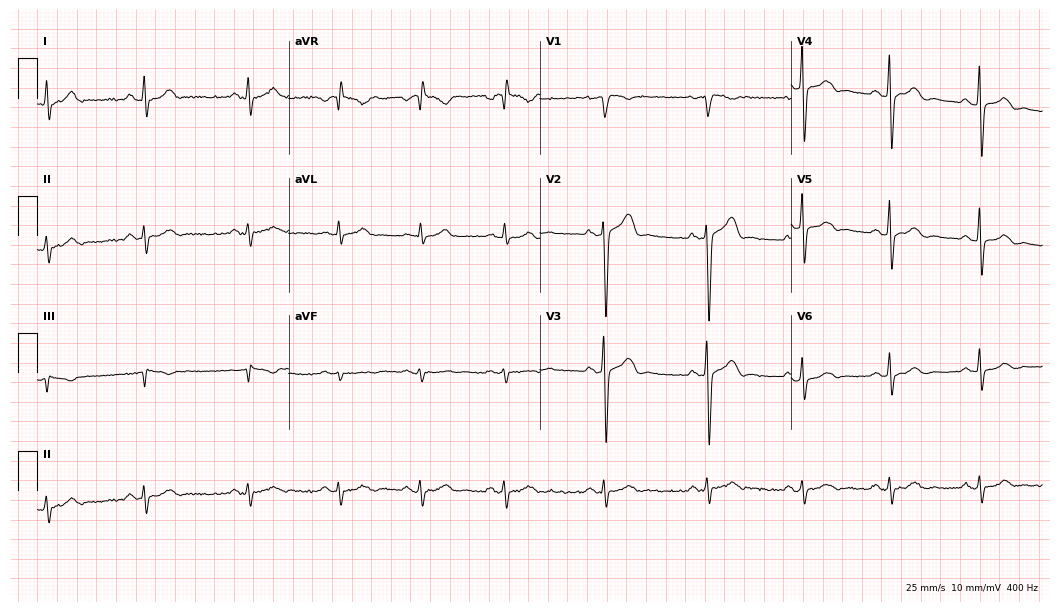
12-lead ECG from a male patient, 46 years old (10.2-second recording at 400 Hz). No first-degree AV block, right bundle branch block, left bundle branch block, sinus bradycardia, atrial fibrillation or sinus tachycardia recorded for this tracing.